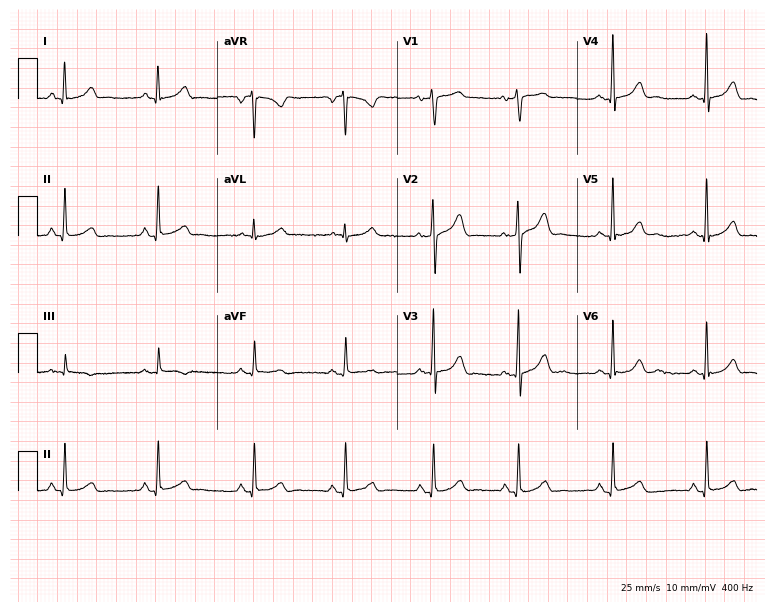
Resting 12-lead electrocardiogram (7.3-second recording at 400 Hz). Patient: a female, 39 years old. Read as a normal ECG.